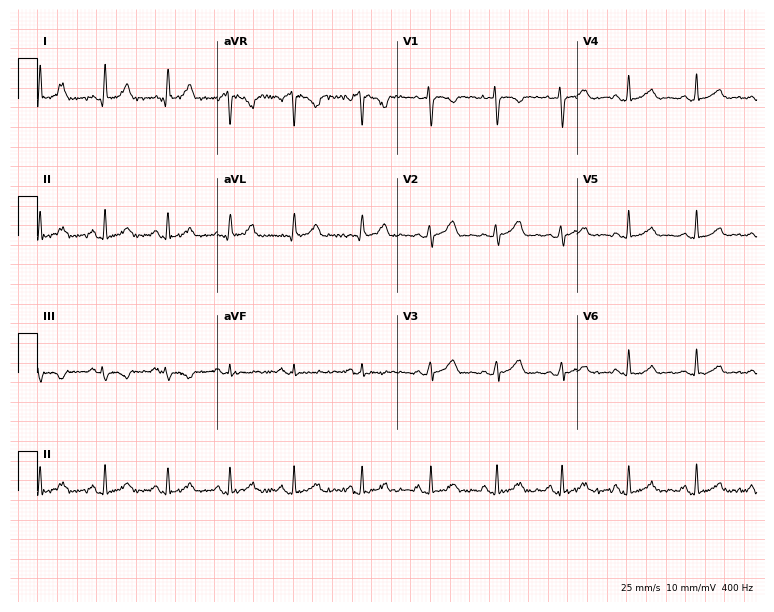
12-lead ECG from a 33-year-old woman. Labelled as a normal ECG.